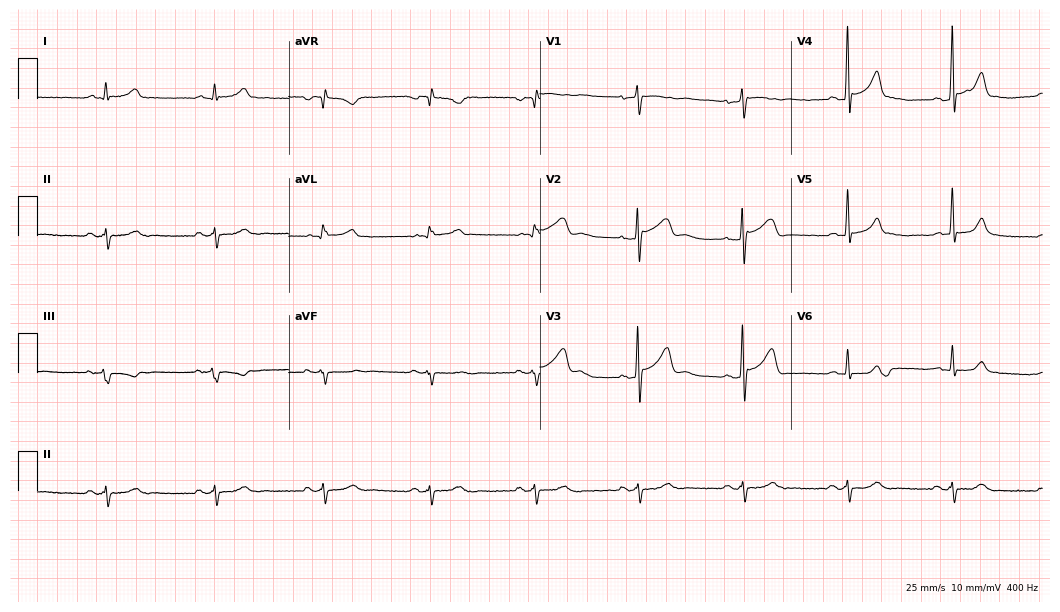
12-lead ECG from a man, 41 years old. Screened for six findings — first-degree AV block, right bundle branch block, left bundle branch block, sinus bradycardia, atrial fibrillation, sinus tachycardia — none is recorded.